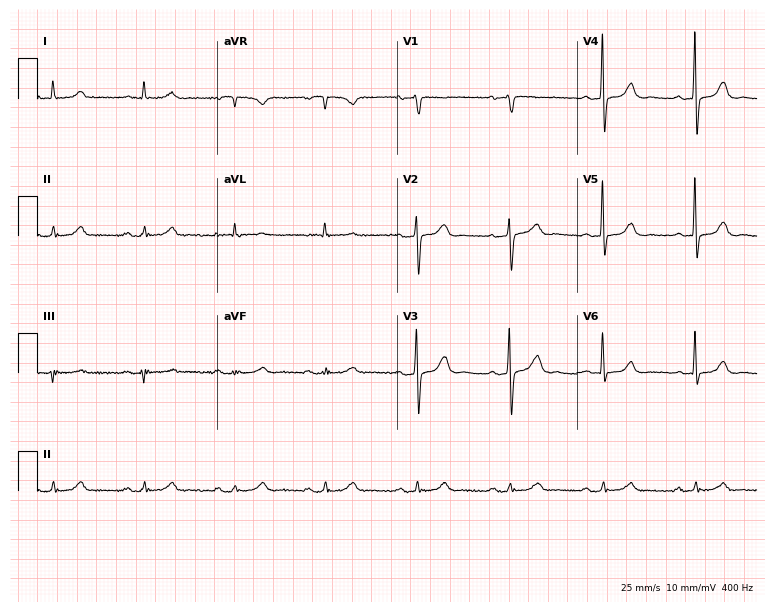
Resting 12-lead electrocardiogram. Patient: a man, 78 years old. Read as a normal ECG.